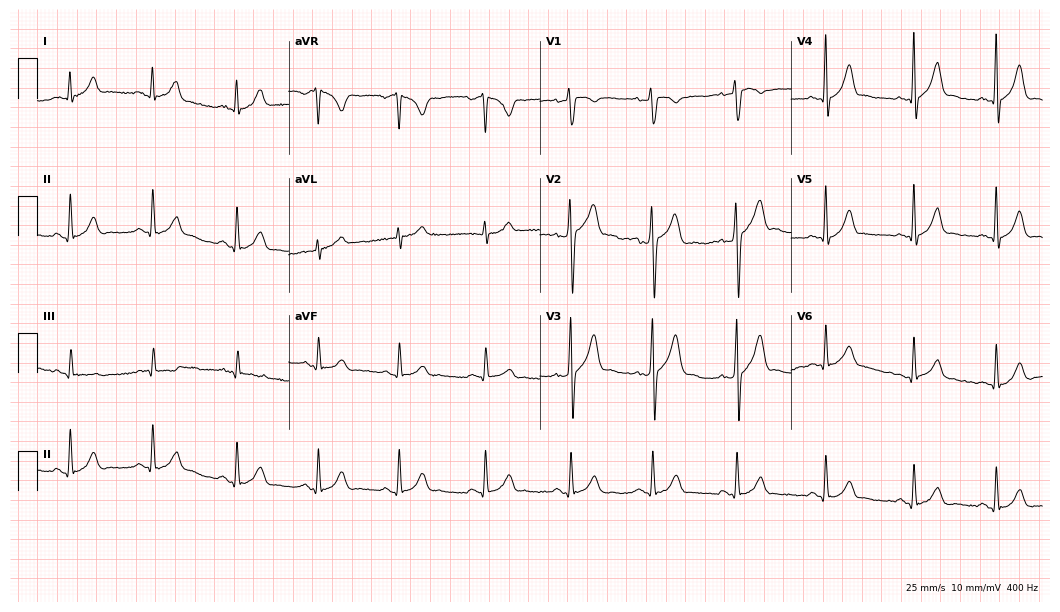
Electrocardiogram, a 20-year-old male. Overall reading on record: normal ECG.